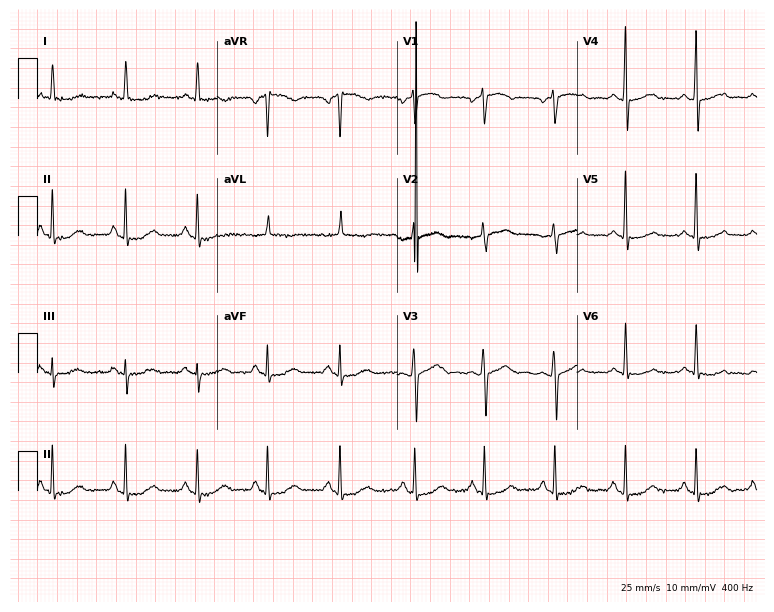
12-lead ECG from a 58-year-old woman (7.3-second recording at 400 Hz). No first-degree AV block, right bundle branch block (RBBB), left bundle branch block (LBBB), sinus bradycardia, atrial fibrillation (AF) or sinus tachycardia recorded for this tracing. Findings outside these six are not listed.